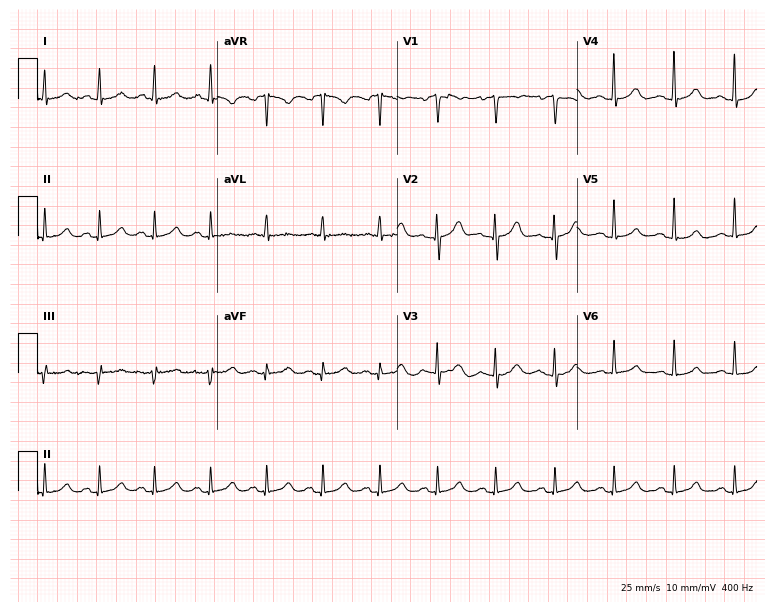
Standard 12-lead ECG recorded from a 44-year-old female patient. The tracing shows sinus tachycardia (a sinus rate of 100 beats per minute or more).